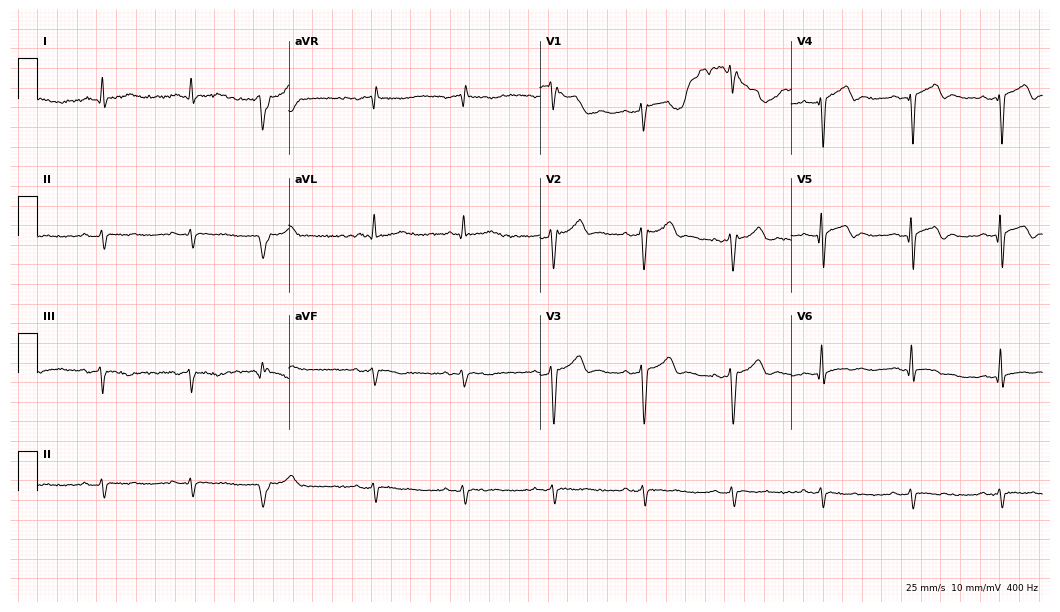
12-lead ECG from a 72-year-old male patient (10.2-second recording at 400 Hz). No first-degree AV block, right bundle branch block (RBBB), left bundle branch block (LBBB), sinus bradycardia, atrial fibrillation (AF) or sinus tachycardia recorded for this tracing.